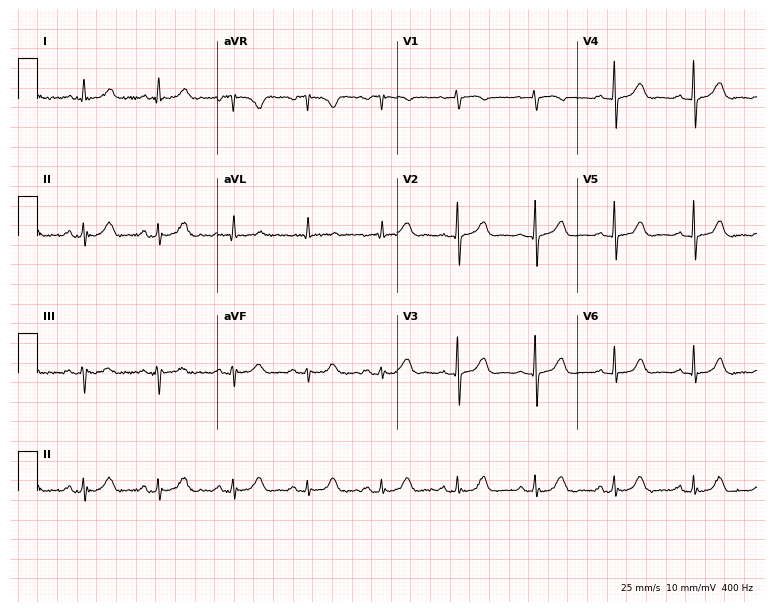
ECG — a female, 61 years old. Labelled as a normal ECG.